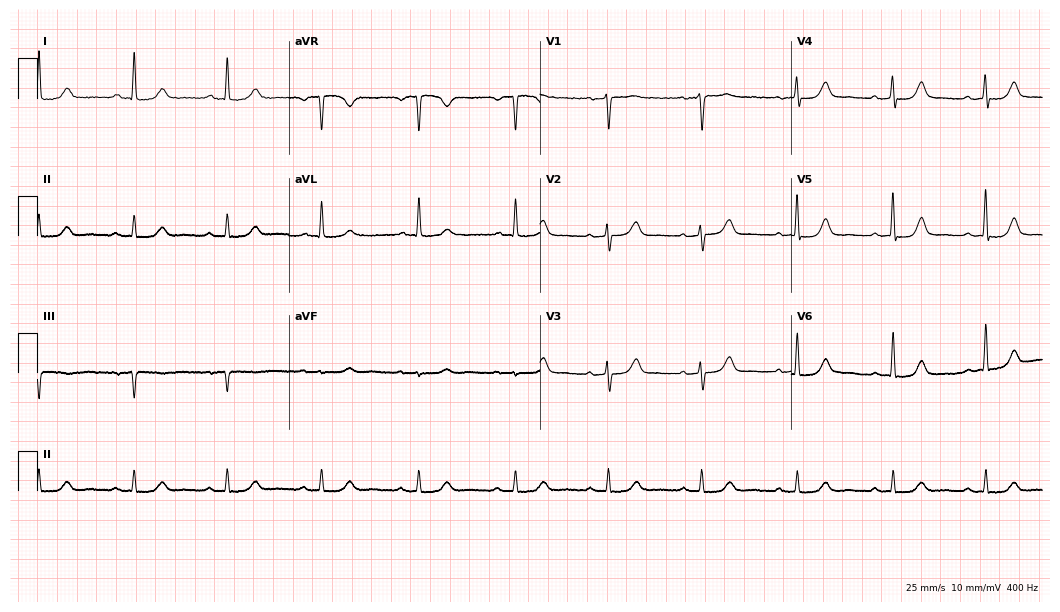
ECG — a female patient, 51 years old. Labelled as a normal ECG.